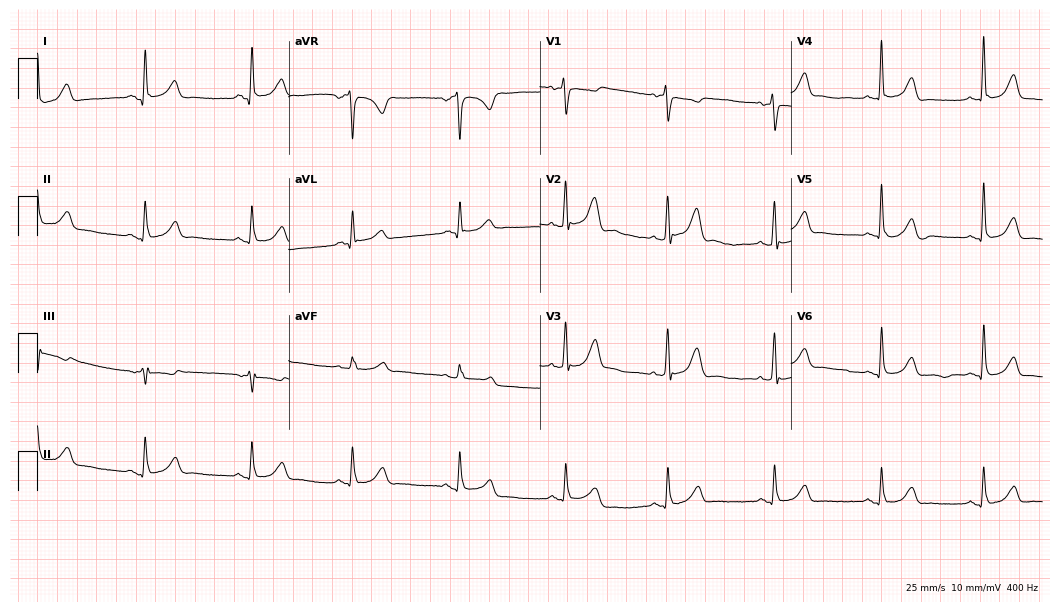
Resting 12-lead electrocardiogram (10.2-second recording at 400 Hz). Patient: a female, 69 years old. Read as a normal ECG.